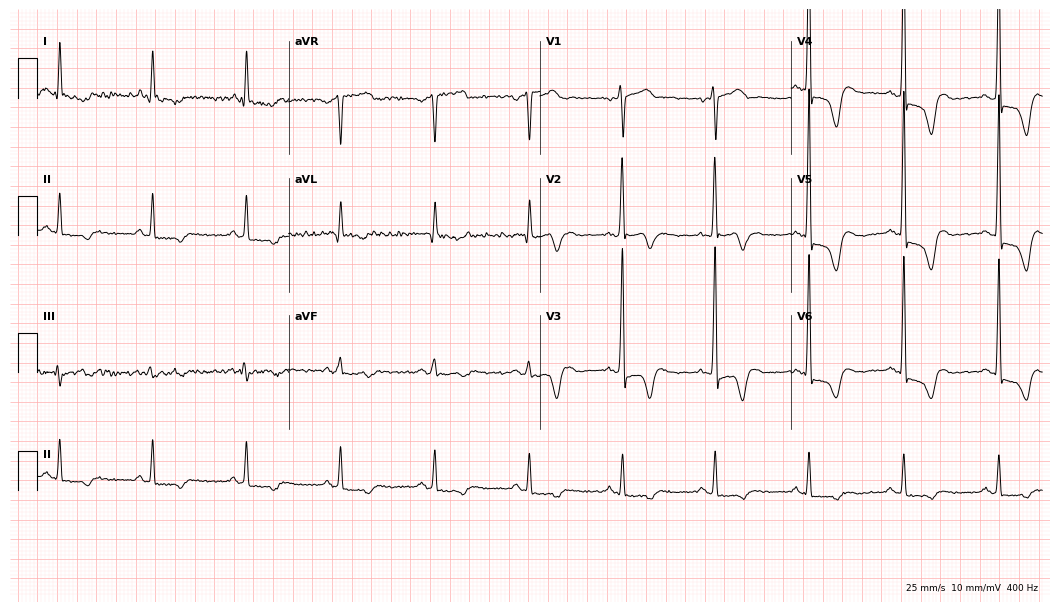
Standard 12-lead ECG recorded from a male, 53 years old. None of these six findings is recorded: first-degree AV block, right bundle branch block (RBBB), left bundle branch block (LBBB), sinus bradycardia, atrial fibrillation (AF), sinus tachycardia.